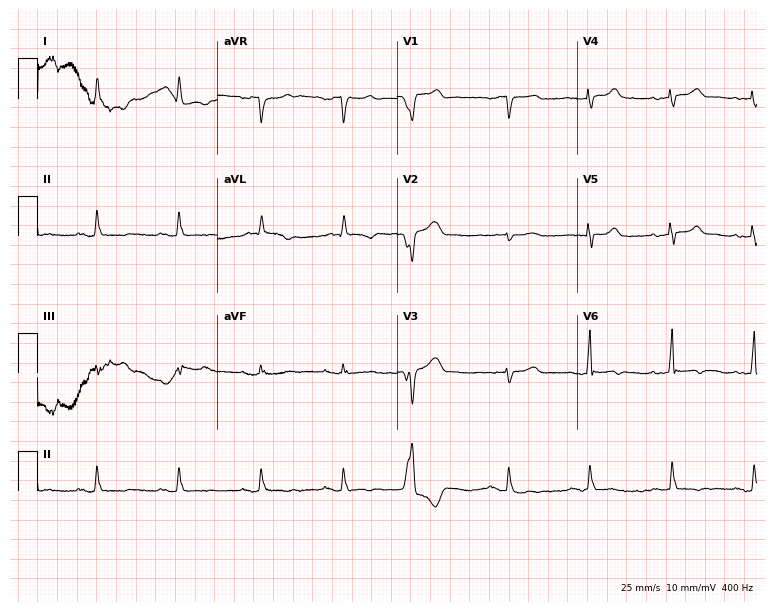
Electrocardiogram (7.3-second recording at 400 Hz), a man, 82 years old. Of the six screened findings (first-degree AV block, right bundle branch block, left bundle branch block, sinus bradycardia, atrial fibrillation, sinus tachycardia), none is recorded. Other findings, if any, are not listed.